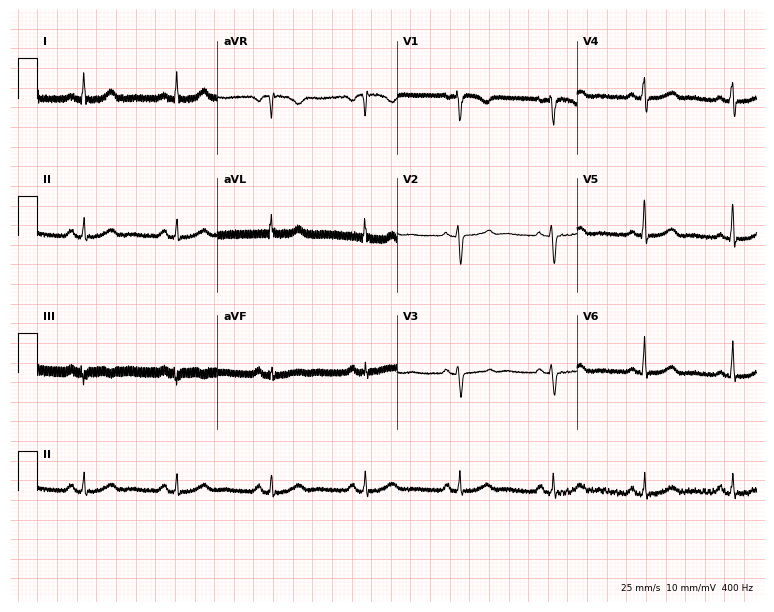
Standard 12-lead ECG recorded from a 40-year-old female patient (7.3-second recording at 400 Hz). Read as a normal ECG.